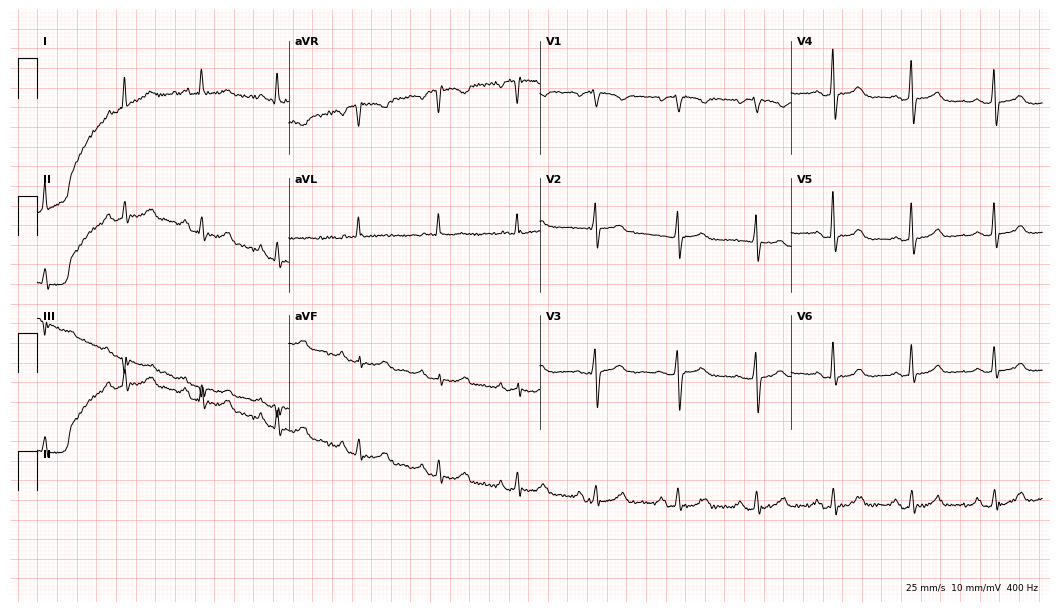
12-lead ECG from a female, 69 years old. Screened for six findings — first-degree AV block, right bundle branch block, left bundle branch block, sinus bradycardia, atrial fibrillation, sinus tachycardia — none is recorded.